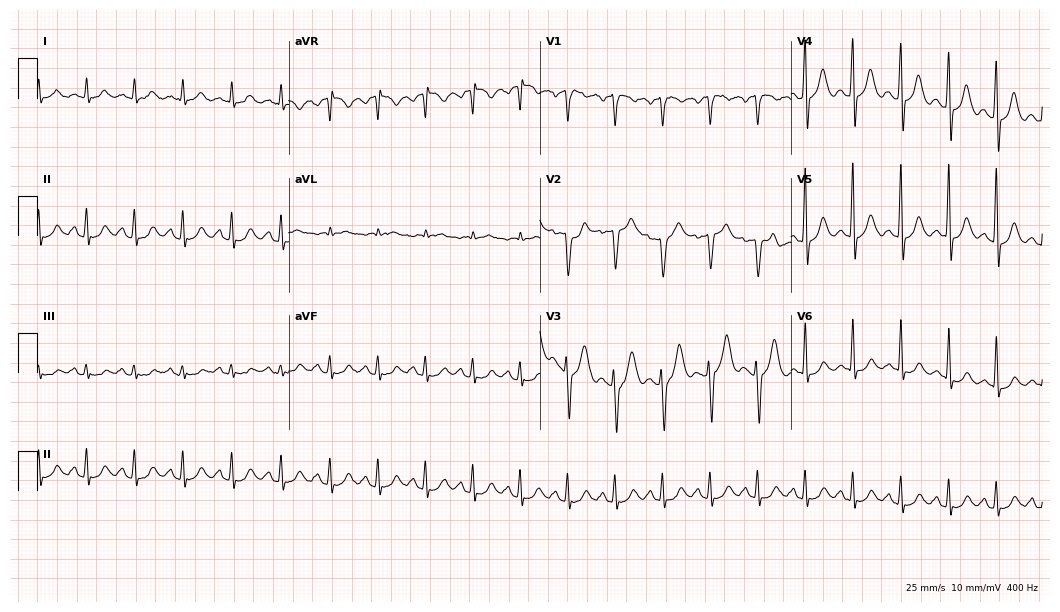
Electrocardiogram (10.2-second recording at 400 Hz), a male, 46 years old. Interpretation includes sinus tachycardia (a sinus rate of 100 beats per minute or more).